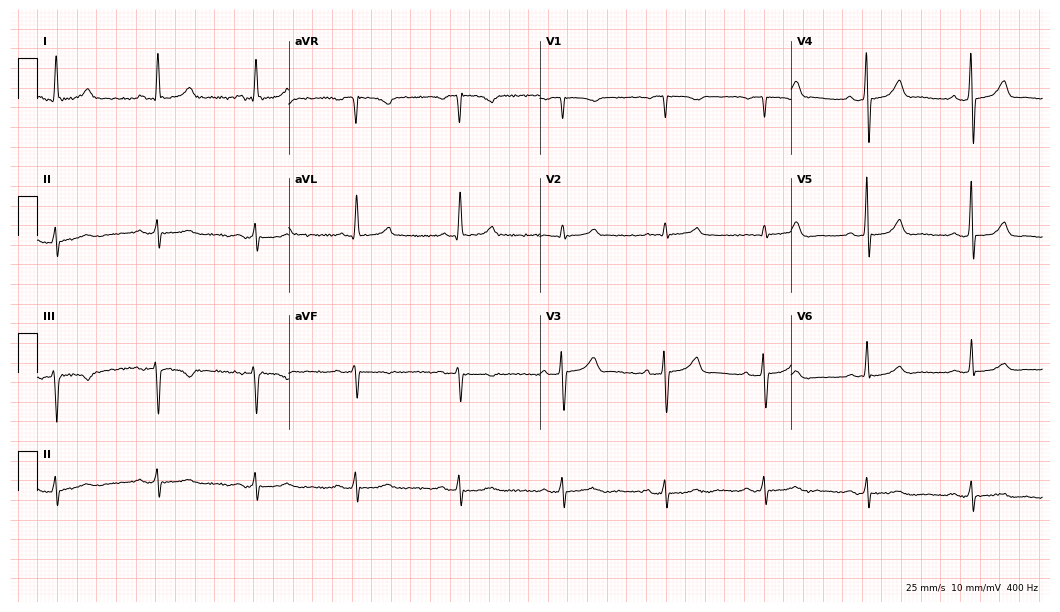
12-lead ECG (10.2-second recording at 400 Hz) from a female patient, 63 years old. Labelled as a normal ECG.